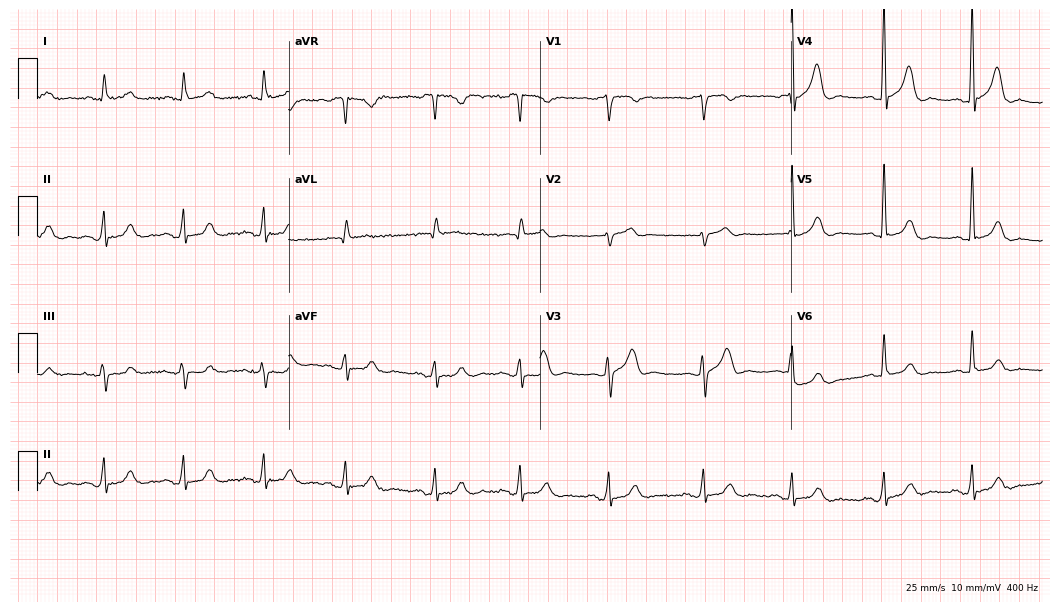
ECG (10.2-second recording at 400 Hz) — a male, 79 years old. Screened for six findings — first-degree AV block, right bundle branch block, left bundle branch block, sinus bradycardia, atrial fibrillation, sinus tachycardia — none is recorded. Findings outside these six are not listed.